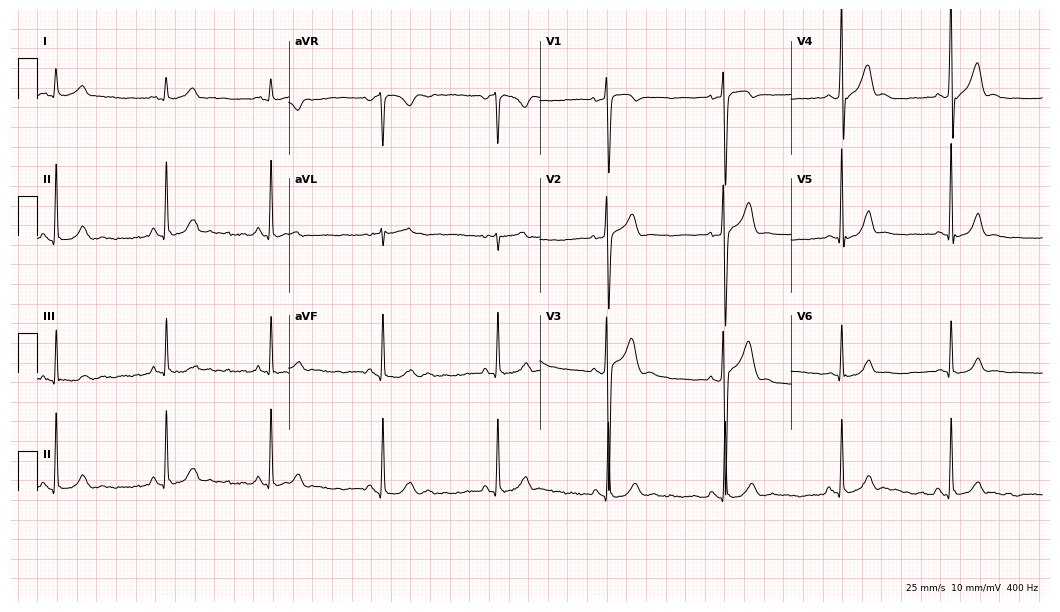
ECG — a man, 23 years old. Labelled as a normal ECG.